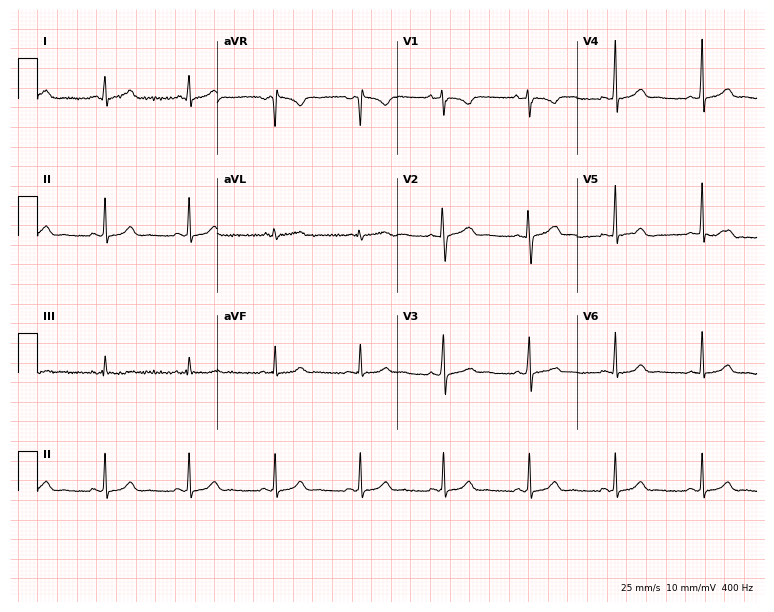
Electrocardiogram (7.3-second recording at 400 Hz), a 30-year-old female patient. Overall reading on record: normal ECG.